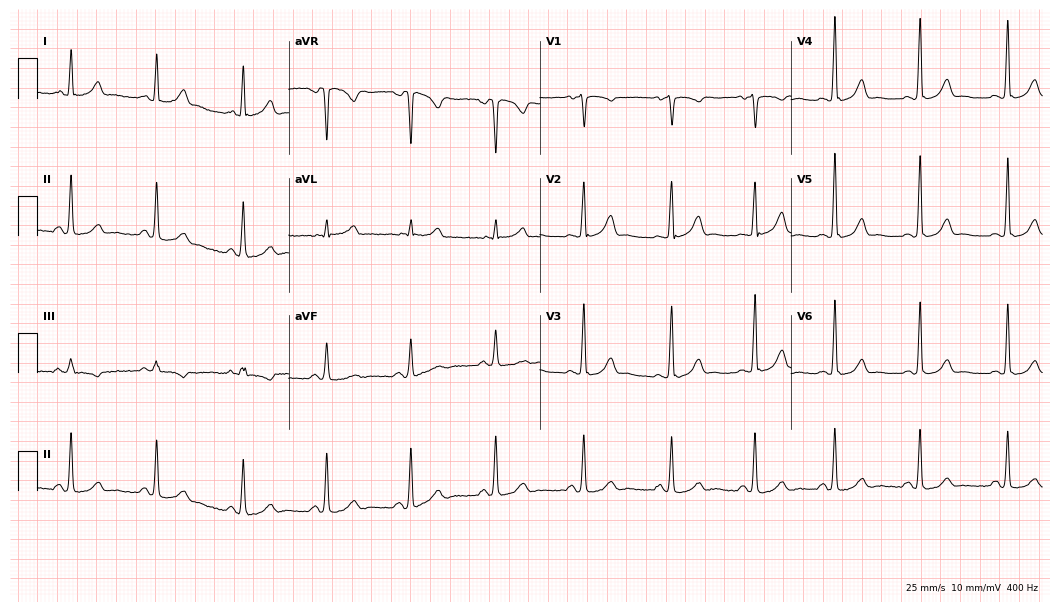
12-lead ECG from a 47-year-old female patient. Labelled as a normal ECG.